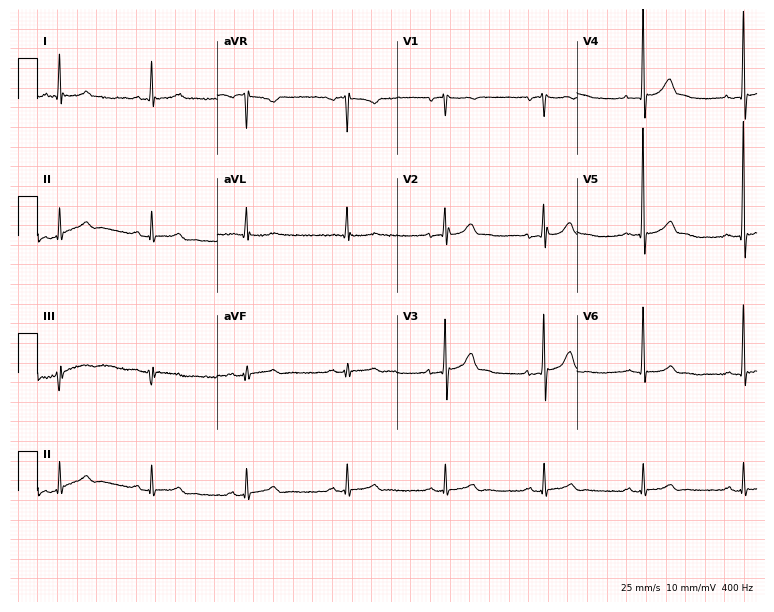
Resting 12-lead electrocardiogram (7.3-second recording at 400 Hz). Patient: a male, 57 years old. Read as a normal ECG.